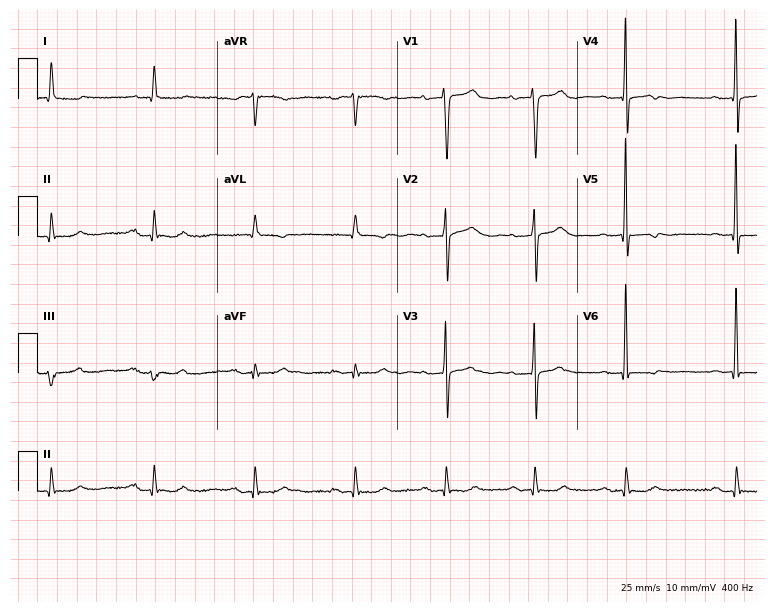
Resting 12-lead electrocardiogram. Patient: a woman, 83 years old. The tracing shows first-degree AV block.